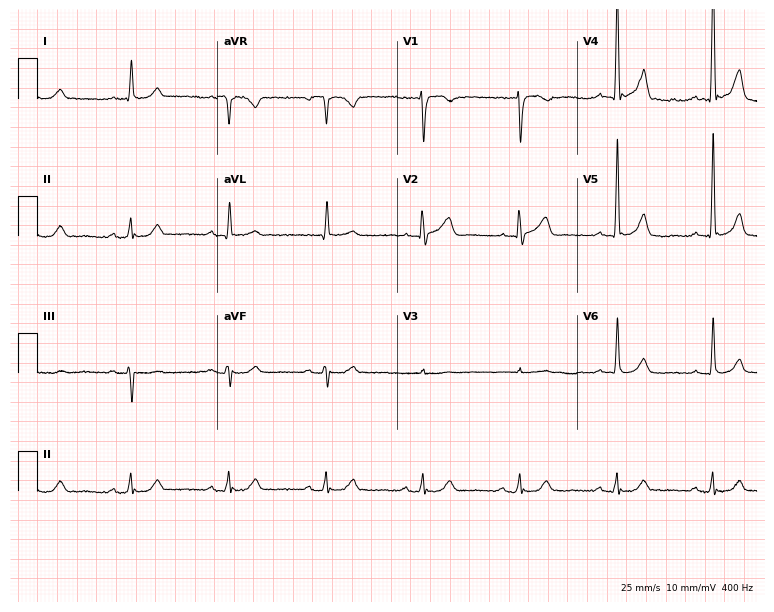
12-lead ECG from a 77-year-old man. Labelled as a normal ECG.